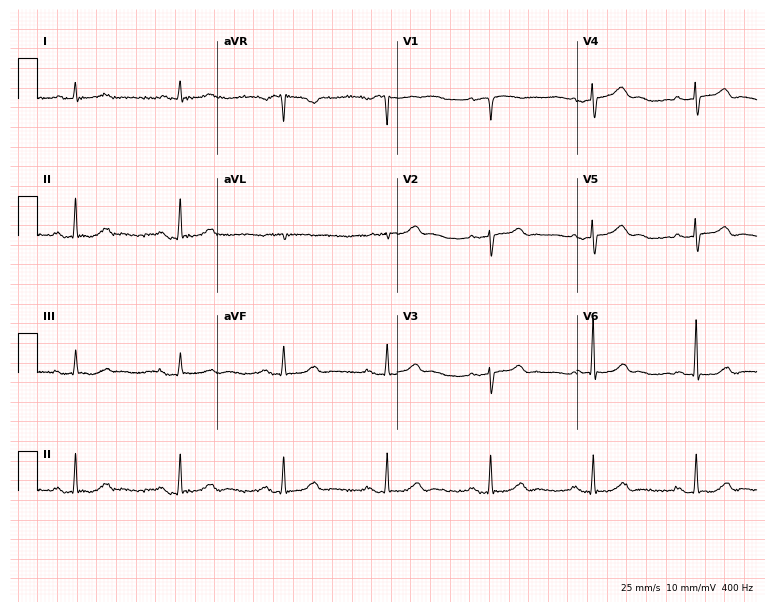
Resting 12-lead electrocardiogram (7.3-second recording at 400 Hz). Patient: an 80-year-old male. None of these six findings is recorded: first-degree AV block, right bundle branch block (RBBB), left bundle branch block (LBBB), sinus bradycardia, atrial fibrillation (AF), sinus tachycardia.